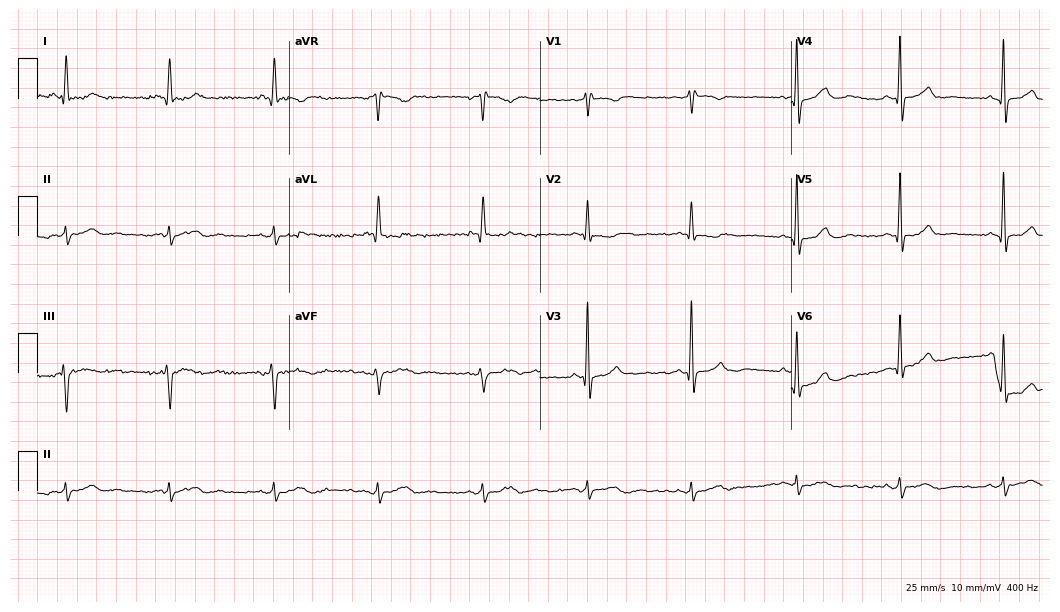
12-lead ECG from a 62-year-old male patient (10.2-second recording at 400 Hz). Recorded interpretation: within normal limits.